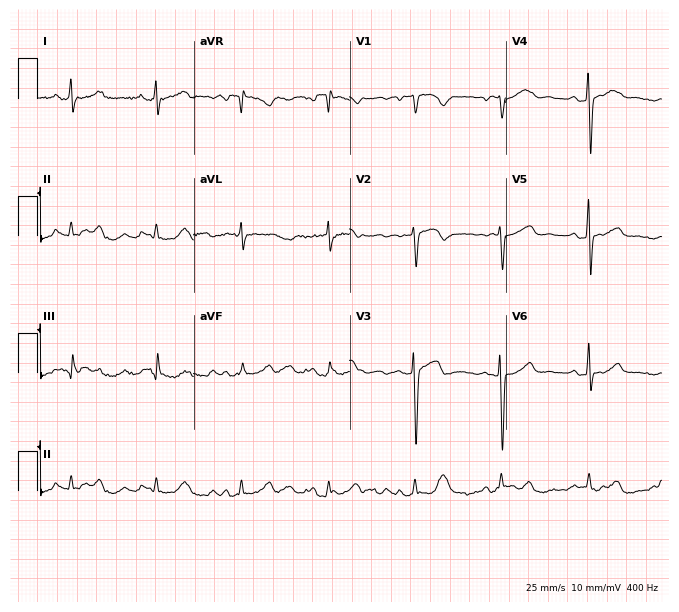
Standard 12-lead ECG recorded from a 48-year-old woman (6.4-second recording at 400 Hz). None of these six findings is recorded: first-degree AV block, right bundle branch block, left bundle branch block, sinus bradycardia, atrial fibrillation, sinus tachycardia.